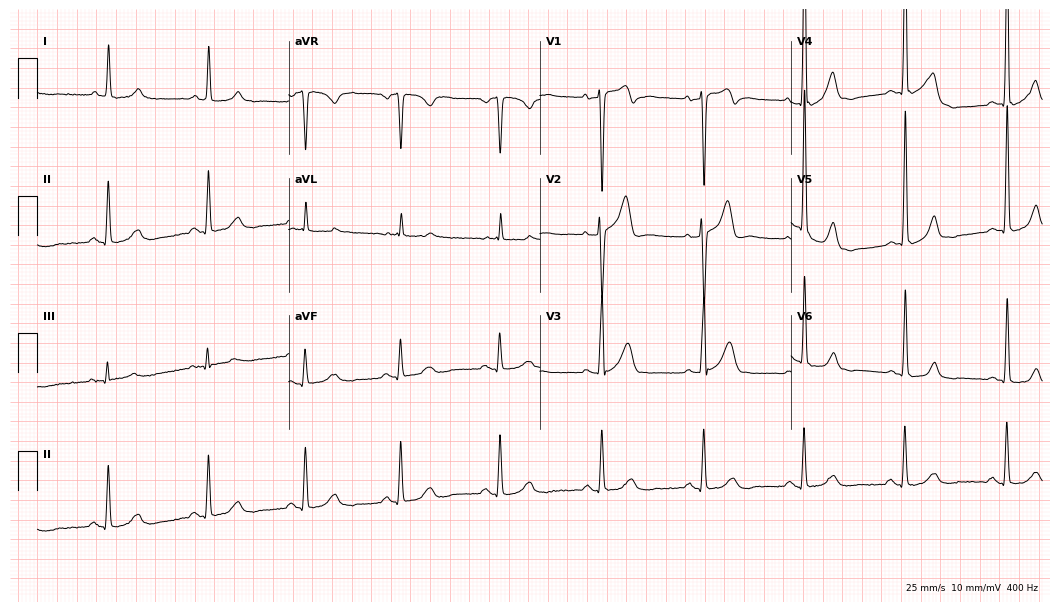
Electrocardiogram, a male patient, 67 years old. Of the six screened findings (first-degree AV block, right bundle branch block, left bundle branch block, sinus bradycardia, atrial fibrillation, sinus tachycardia), none is recorded.